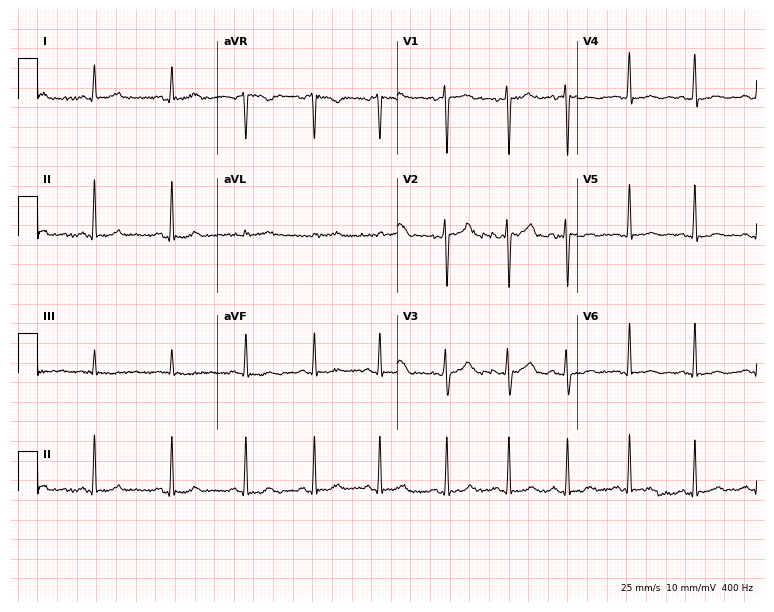
Electrocardiogram (7.3-second recording at 400 Hz), a female, 38 years old. Of the six screened findings (first-degree AV block, right bundle branch block, left bundle branch block, sinus bradycardia, atrial fibrillation, sinus tachycardia), none is recorded.